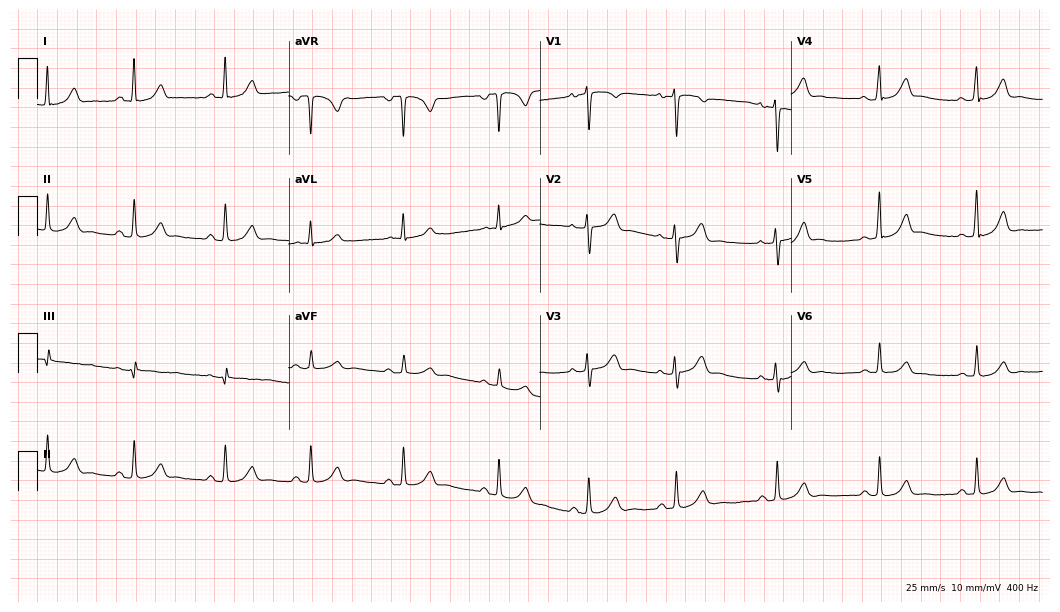
12-lead ECG from a female, 30 years old. Recorded interpretation: within normal limits.